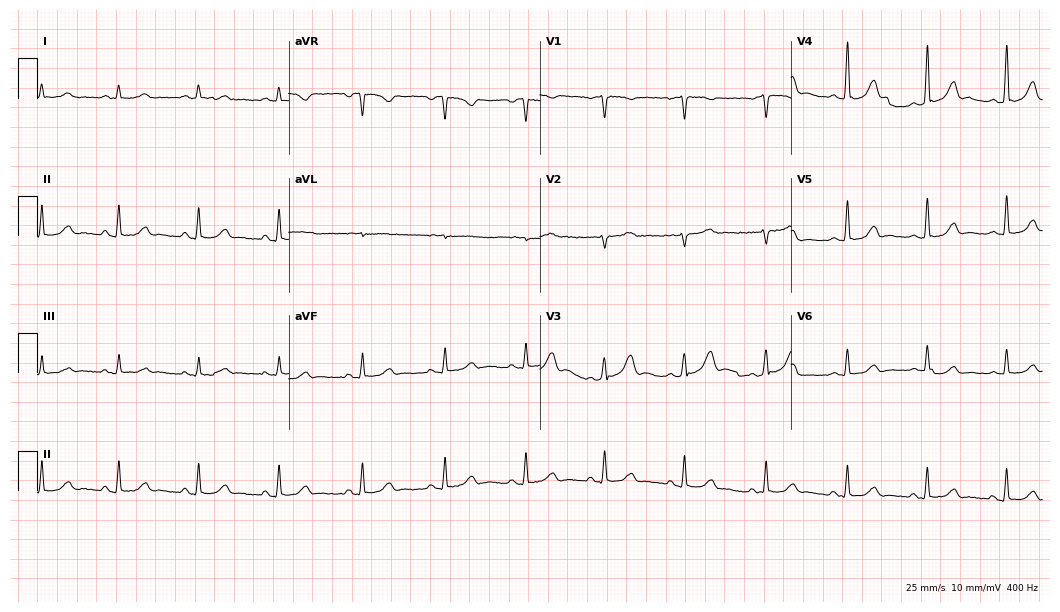
Electrocardiogram, a female patient, 31 years old. Of the six screened findings (first-degree AV block, right bundle branch block, left bundle branch block, sinus bradycardia, atrial fibrillation, sinus tachycardia), none is recorded. Only these six findings were labelled.